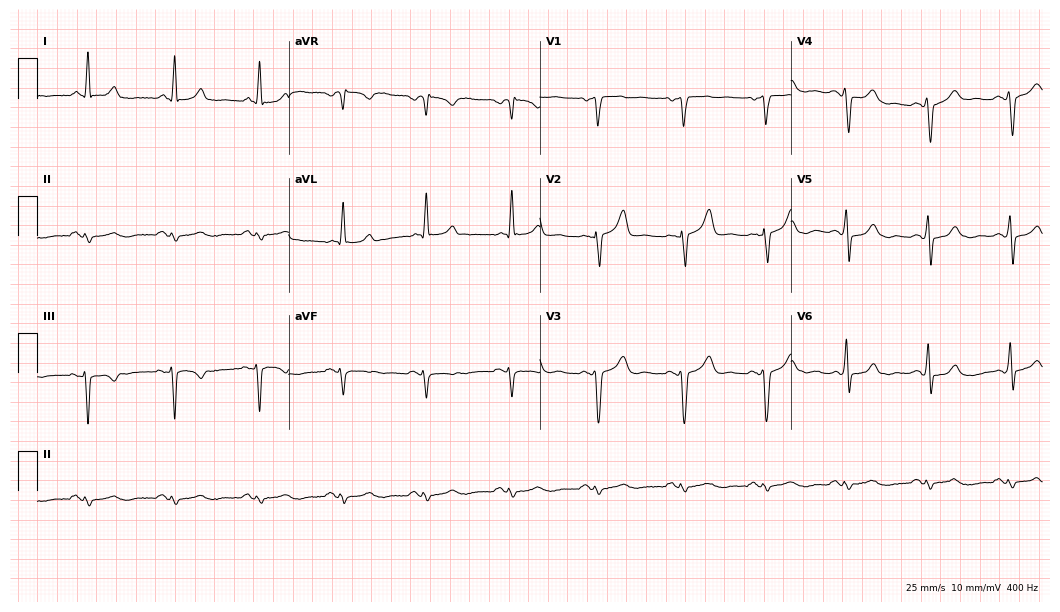
ECG (10.2-second recording at 400 Hz) — a 67-year-old man. Screened for six findings — first-degree AV block, right bundle branch block, left bundle branch block, sinus bradycardia, atrial fibrillation, sinus tachycardia — none is recorded.